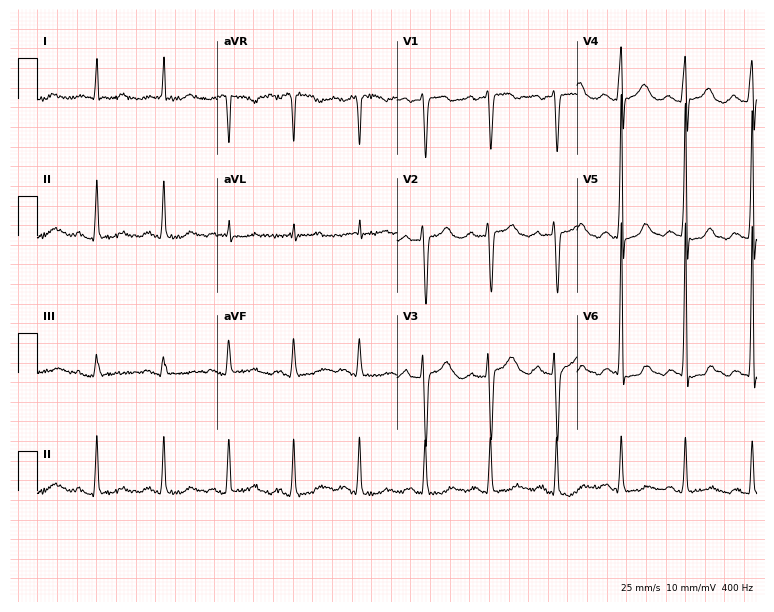
12-lead ECG (7.3-second recording at 400 Hz) from a female, 64 years old. Screened for six findings — first-degree AV block, right bundle branch block, left bundle branch block, sinus bradycardia, atrial fibrillation, sinus tachycardia — none is recorded.